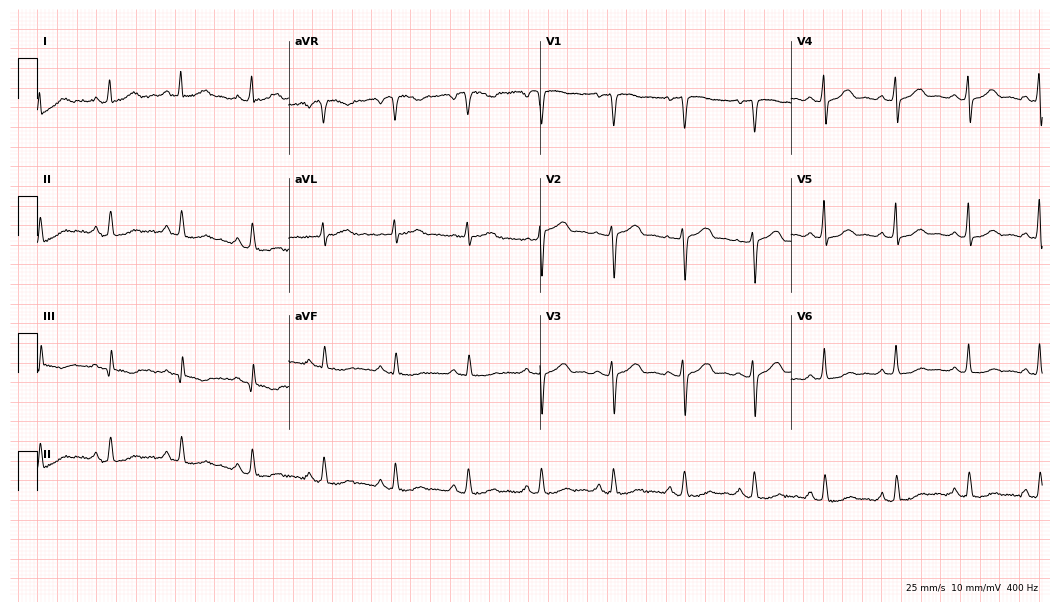
Standard 12-lead ECG recorded from a 51-year-old male (10.2-second recording at 400 Hz). None of these six findings is recorded: first-degree AV block, right bundle branch block, left bundle branch block, sinus bradycardia, atrial fibrillation, sinus tachycardia.